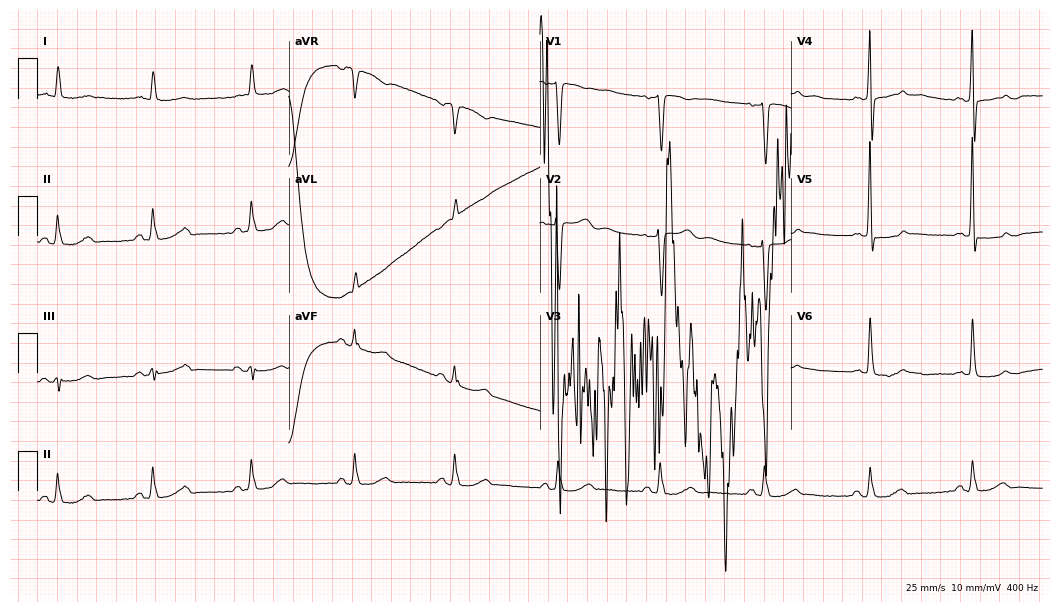
ECG — a woman, 76 years old. Screened for six findings — first-degree AV block, right bundle branch block, left bundle branch block, sinus bradycardia, atrial fibrillation, sinus tachycardia — none is recorded.